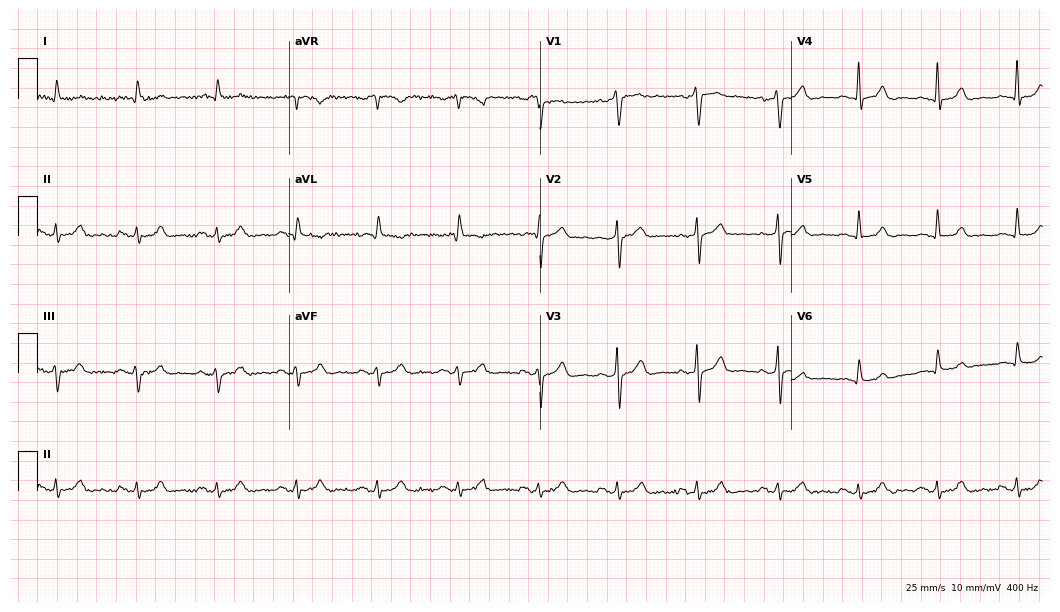
12-lead ECG from a male, 76 years old. Labelled as a normal ECG.